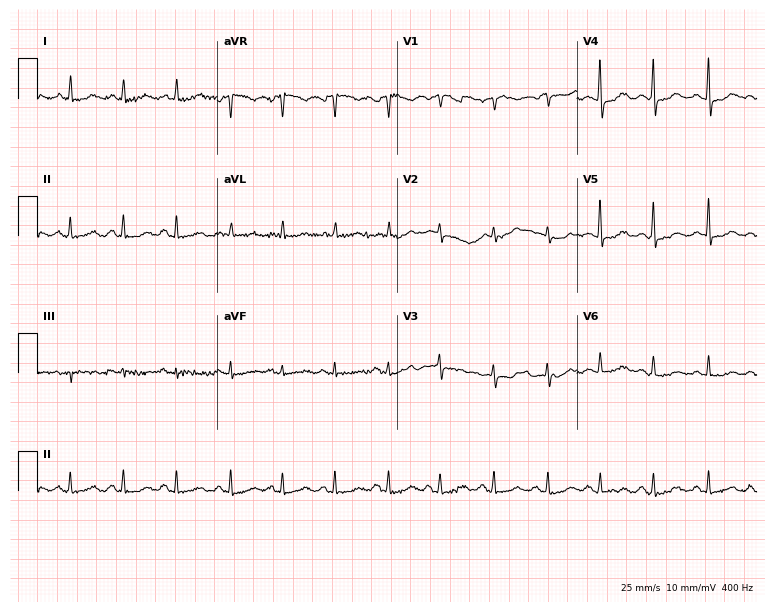
Resting 12-lead electrocardiogram (7.3-second recording at 400 Hz). Patient: a 62-year-old female. The tracing shows sinus tachycardia (a sinus rate of 100 beats per minute or more).